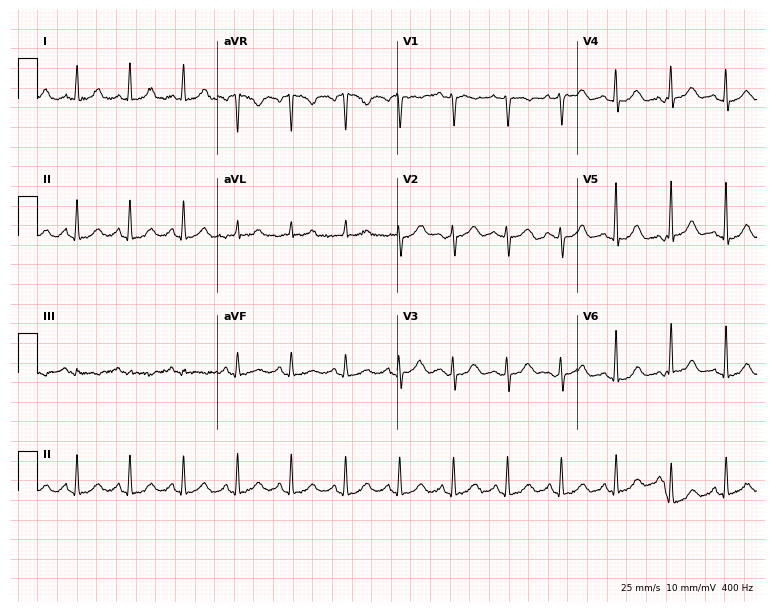
Electrocardiogram, a woman, 59 years old. Interpretation includes sinus tachycardia (a sinus rate of 100 beats per minute or more).